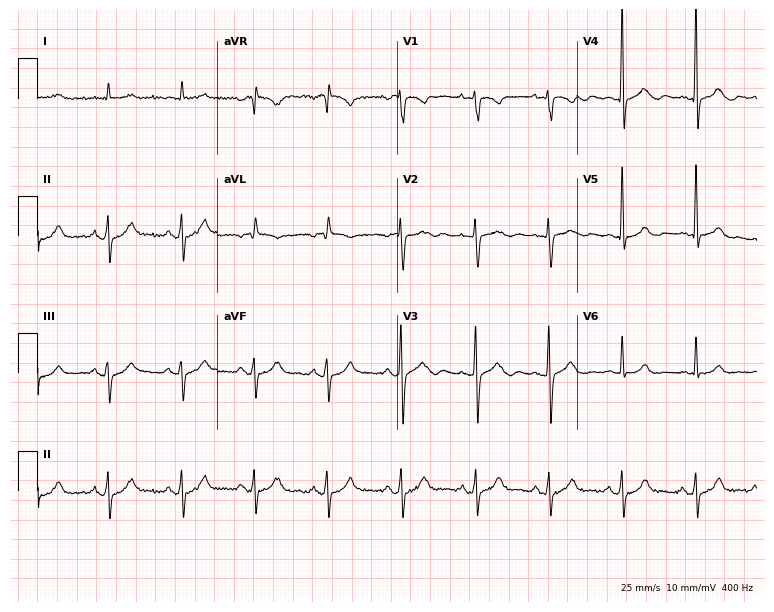
Electrocardiogram, an 81-year-old male patient. Of the six screened findings (first-degree AV block, right bundle branch block (RBBB), left bundle branch block (LBBB), sinus bradycardia, atrial fibrillation (AF), sinus tachycardia), none is recorded.